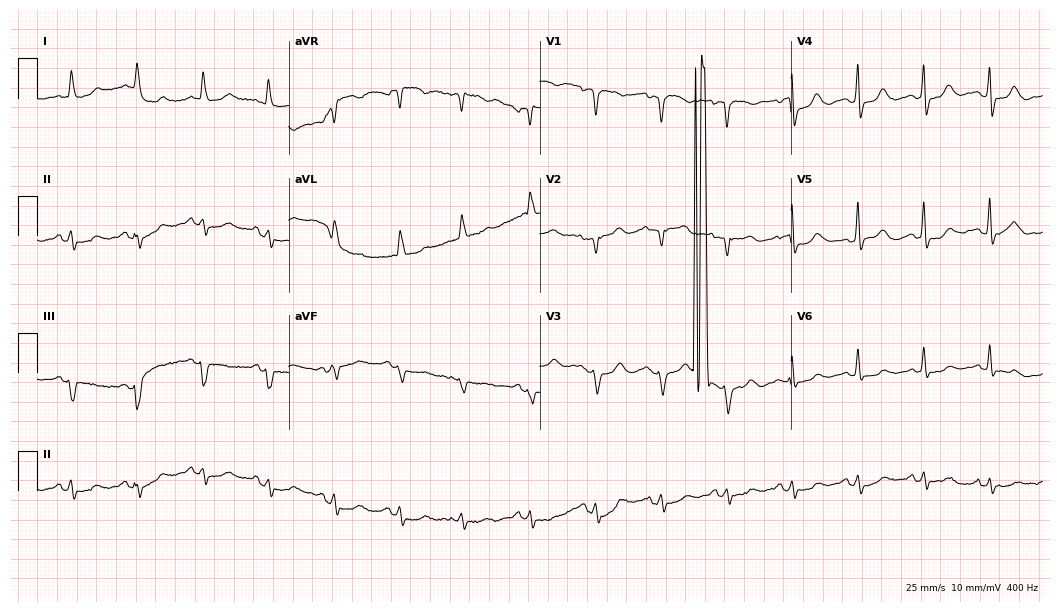
ECG (10.2-second recording at 400 Hz) — an 84-year-old female patient. Screened for six findings — first-degree AV block, right bundle branch block, left bundle branch block, sinus bradycardia, atrial fibrillation, sinus tachycardia — none is recorded.